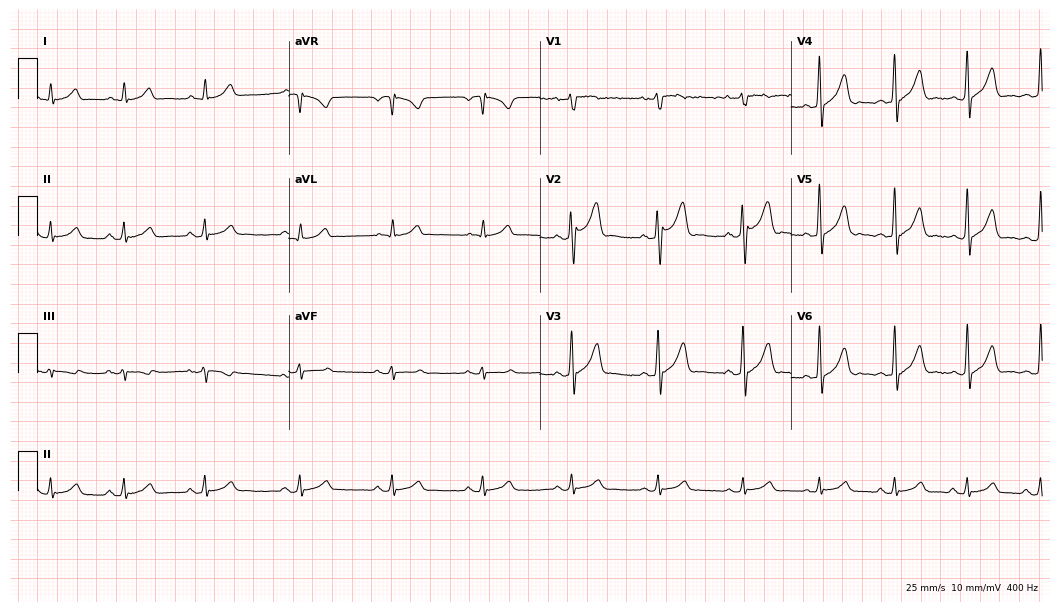
Electrocardiogram, a 32-year-old man. Overall reading on record: normal ECG.